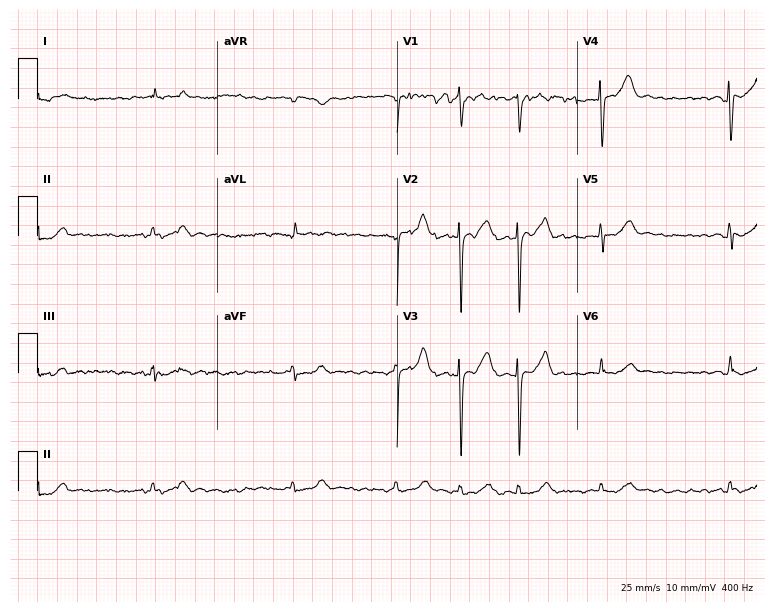
12-lead ECG from an 81-year-old female (7.3-second recording at 400 Hz). Shows atrial fibrillation.